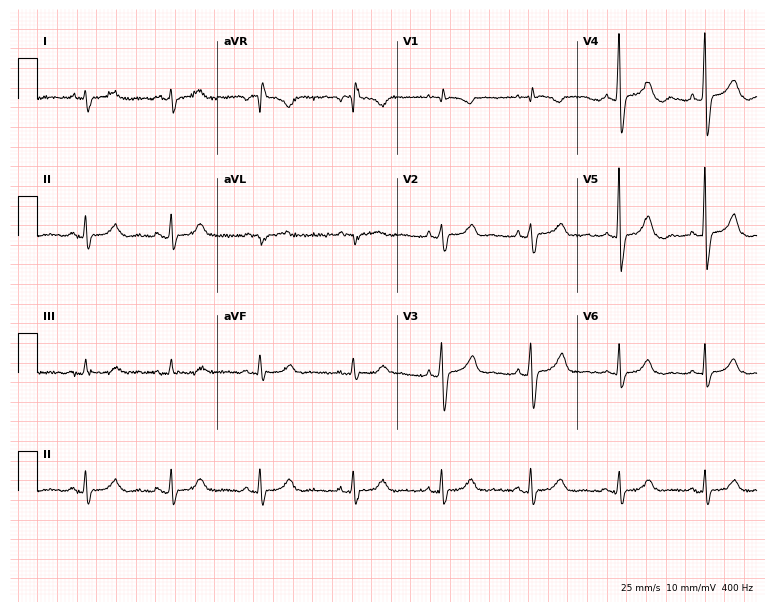
Resting 12-lead electrocardiogram. Patient: a 53-year-old male. None of these six findings is recorded: first-degree AV block, right bundle branch block, left bundle branch block, sinus bradycardia, atrial fibrillation, sinus tachycardia. Findings outside these six are not listed.